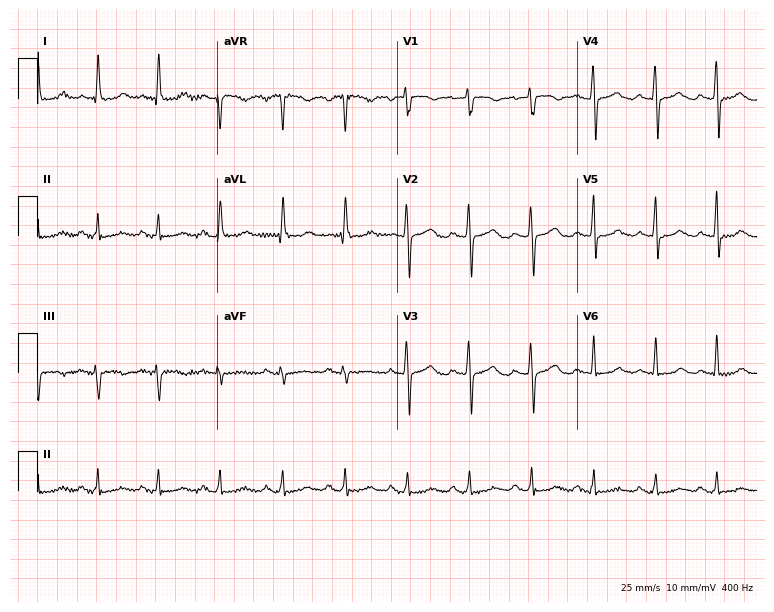
Standard 12-lead ECG recorded from a 72-year-old woman (7.3-second recording at 400 Hz). Read as a normal ECG.